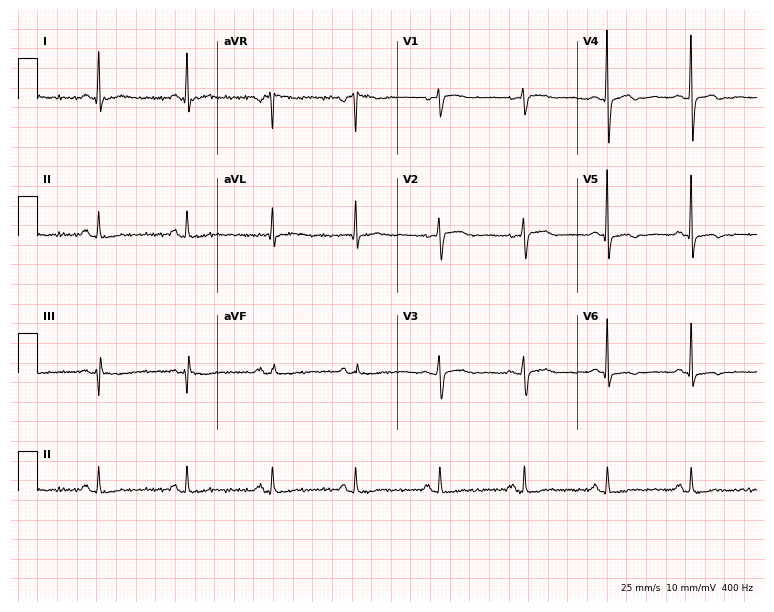
12-lead ECG from a female, 62 years old. No first-degree AV block, right bundle branch block, left bundle branch block, sinus bradycardia, atrial fibrillation or sinus tachycardia recorded for this tracing.